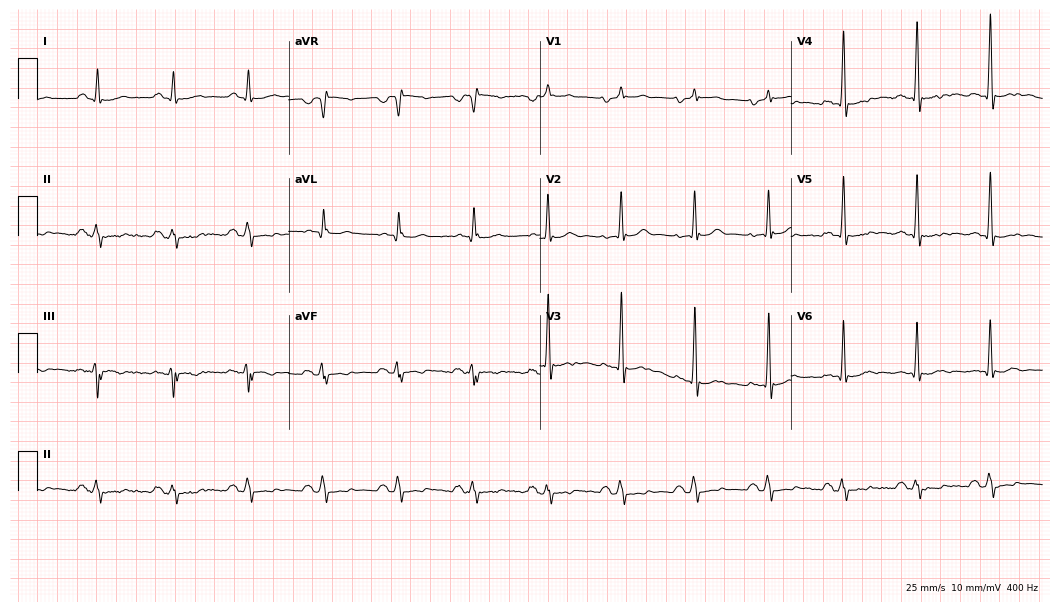
12-lead ECG (10.2-second recording at 400 Hz) from a male patient, 60 years old. Labelled as a normal ECG.